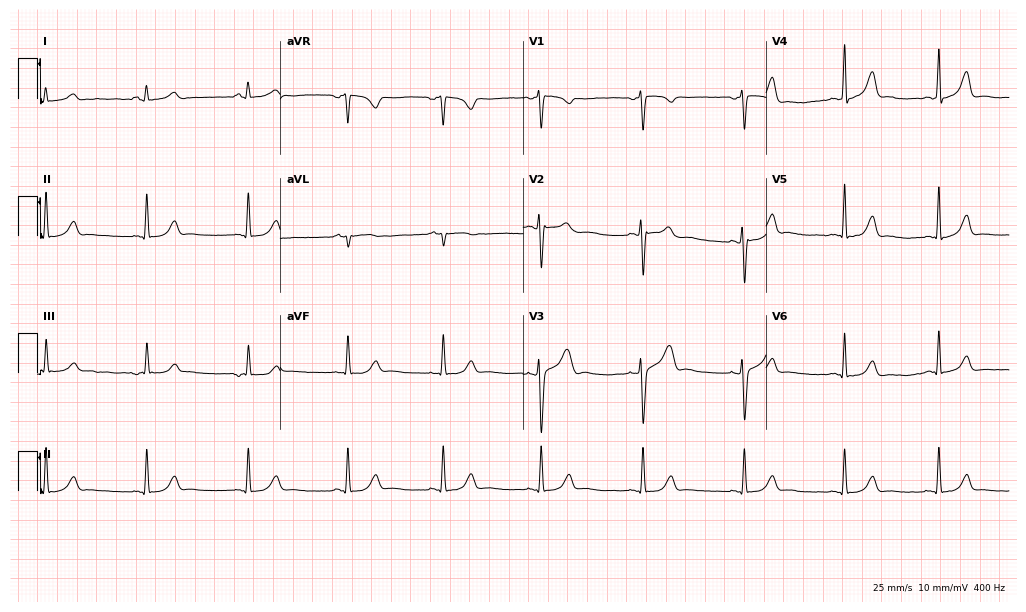
Standard 12-lead ECG recorded from a 27-year-old female (9.9-second recording at 400 Hz). Read as a normal ECG.